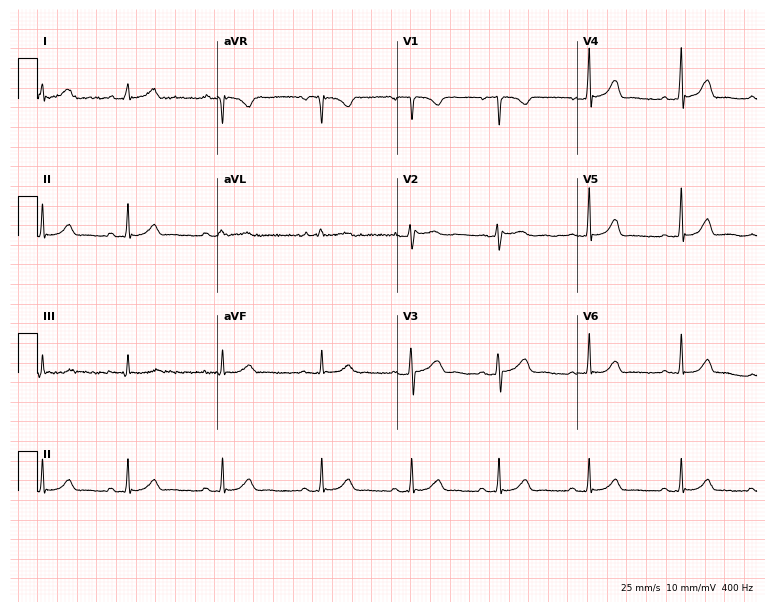
Electrocardiogram, a 22-year-old woman. Of the six screened findings (first-degree AV block, right bundle branch block, left bundle branch block, sinus bradycardia, atrial fibrillation, sinus tachycardia), none is recorded.